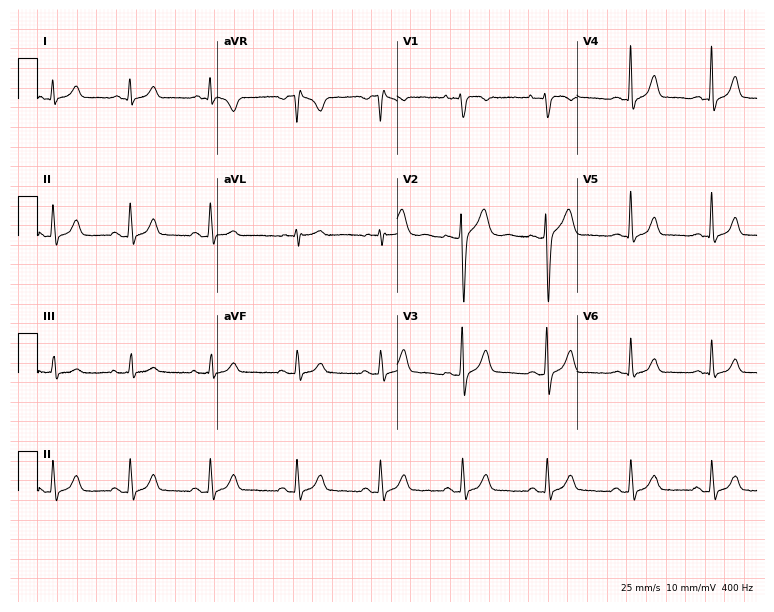
12-lead ECG from a 24-year-old man. Recorded interpretation: within normal limits.